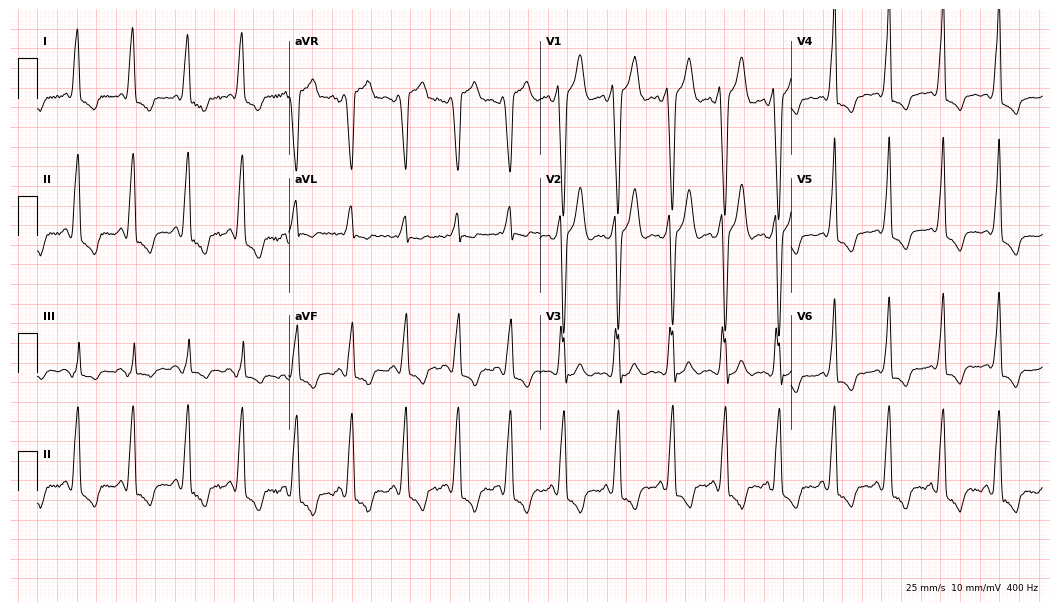
Standard 12-lead ECG recorded from a male patient, 20 years old (10.2-second recording at 400 Hz). The tracing shows sinus tachycardia (a sinus rate of 100 beats per minute or more).